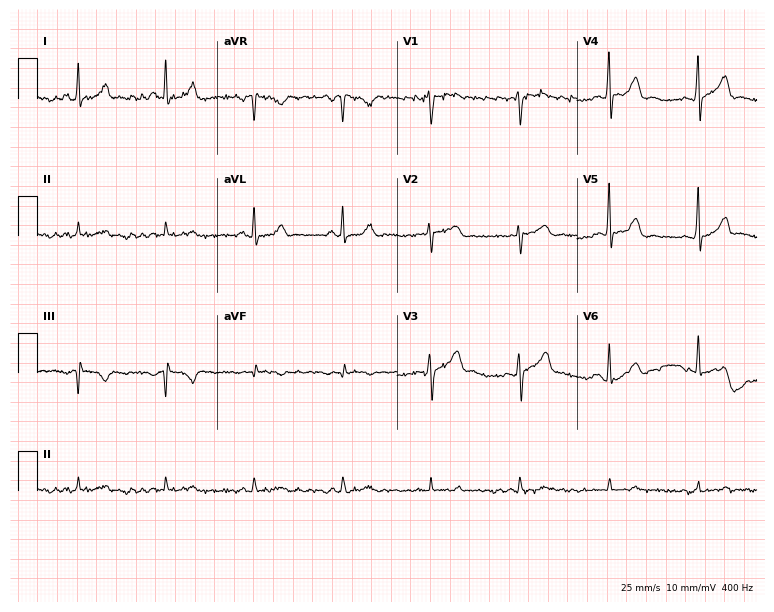
ECG — a 62-year-old male patient. Labelled as a normal ECG.